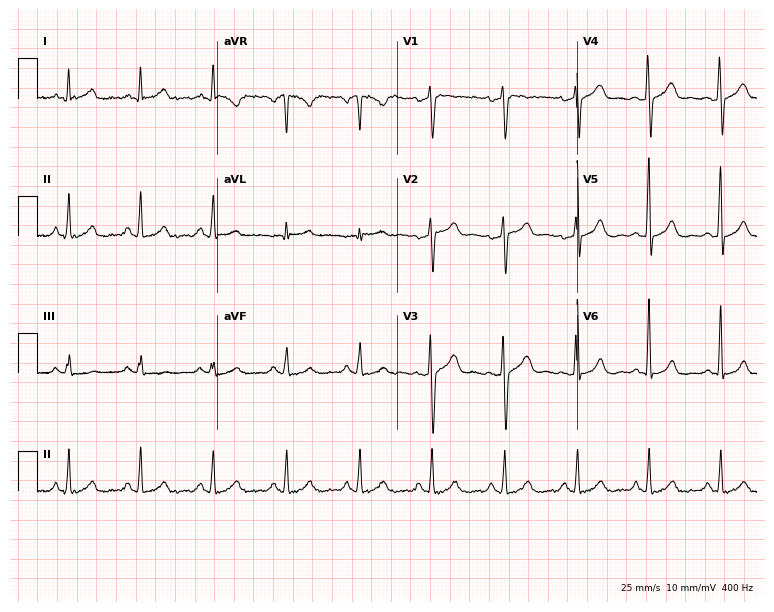
Resting 12-lead electrocardiogram. Patient: a 49-year-old man. Read as a normal ECG.